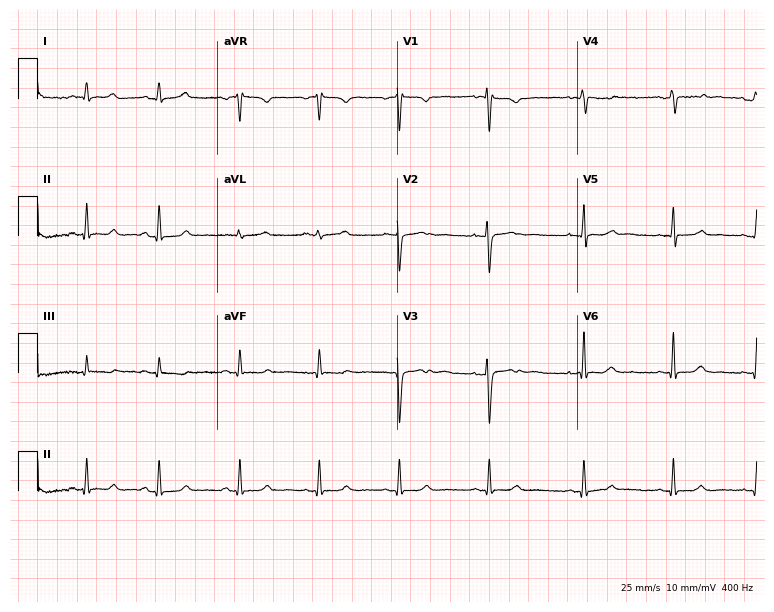
Standard 12-lead ECG recorded from a 23-year-old female (7.3-second recording at 400 Hz). Read as a normal ECG.